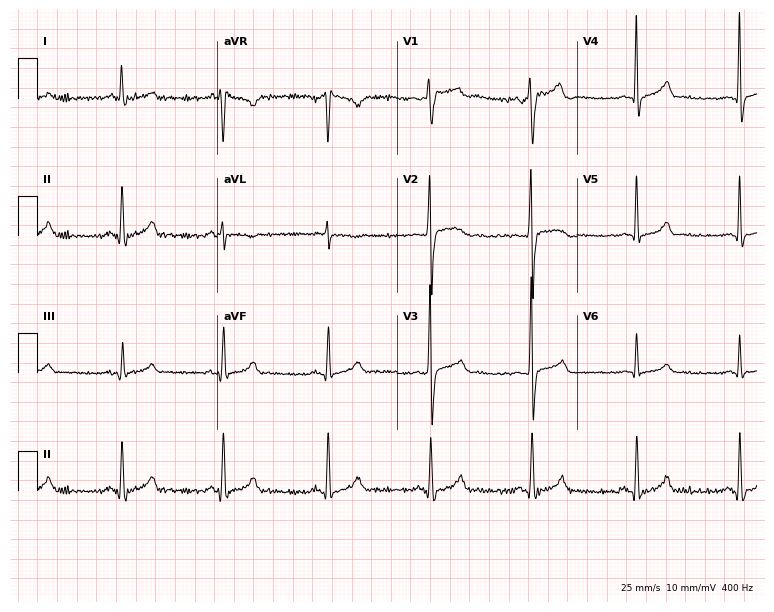
Standard 12-lead ECG recorded from a 54-year-old man (7.3-second recording at 400 Hz). Read as a normal ECG.